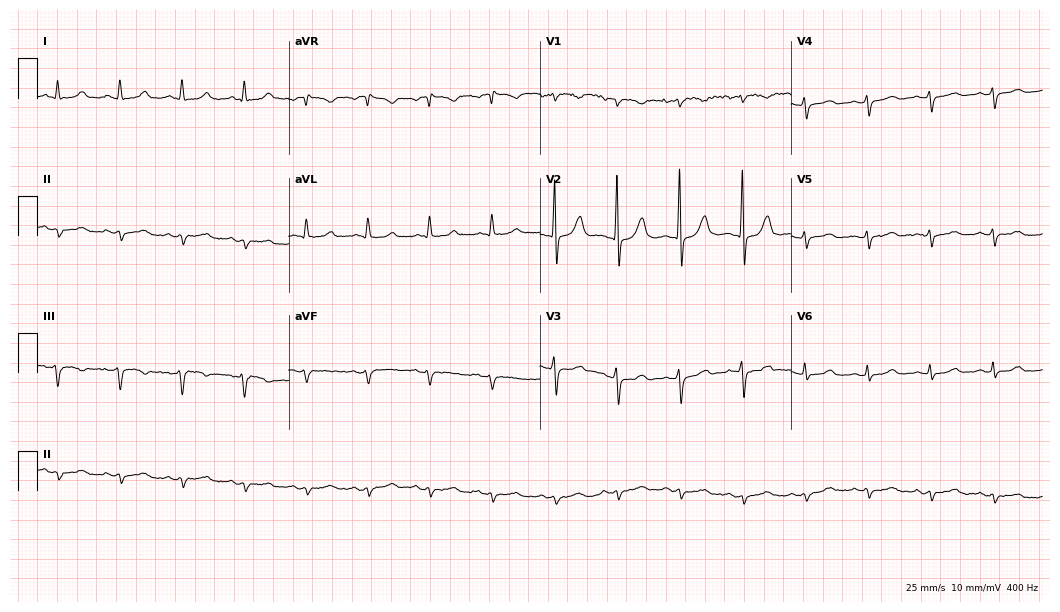
Resting 12-lead electrocardiogram (10.2-second recording at 400 Hz). Patient: a man, 60 years old. None of these six findings is recorded: first-degree AV block, right bundle branch block, left bundle branch block, sinus bradycardia, atrial fibrillation, sinus tachycardia. Other findings, if any, are not listed.